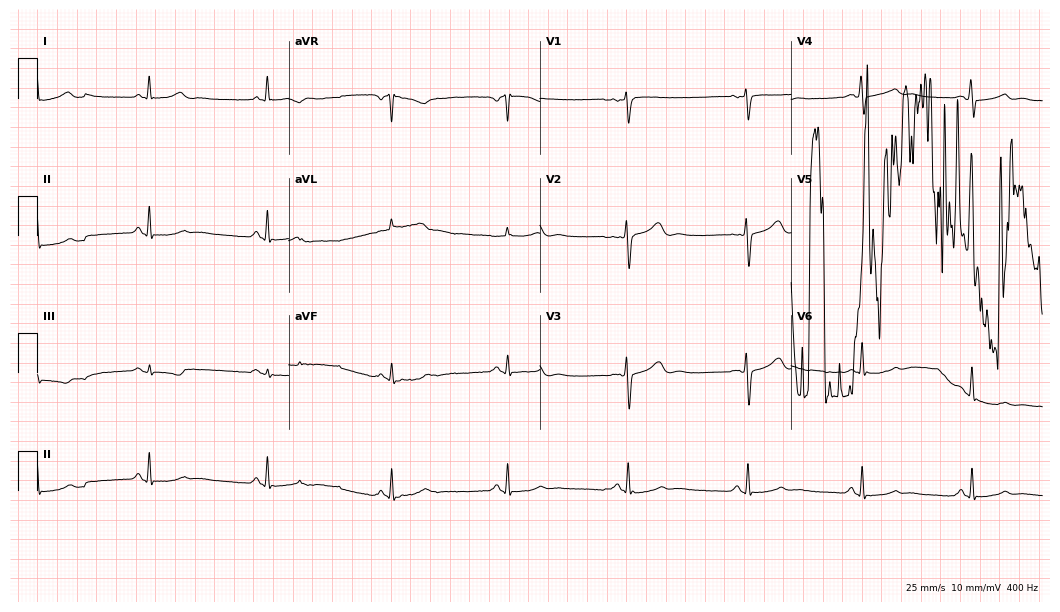
Resting 12-lead electrocardiogram (10.2-second recording at 400 Hz). Patient: a 37-year-old female. None of these six findings is recorded: first-degree AV block, right bundle branch block, left bundle branch block, sinus bradycardia, atrial fibrillation, sinus tachycardia. Other findings, if any, are not listed.